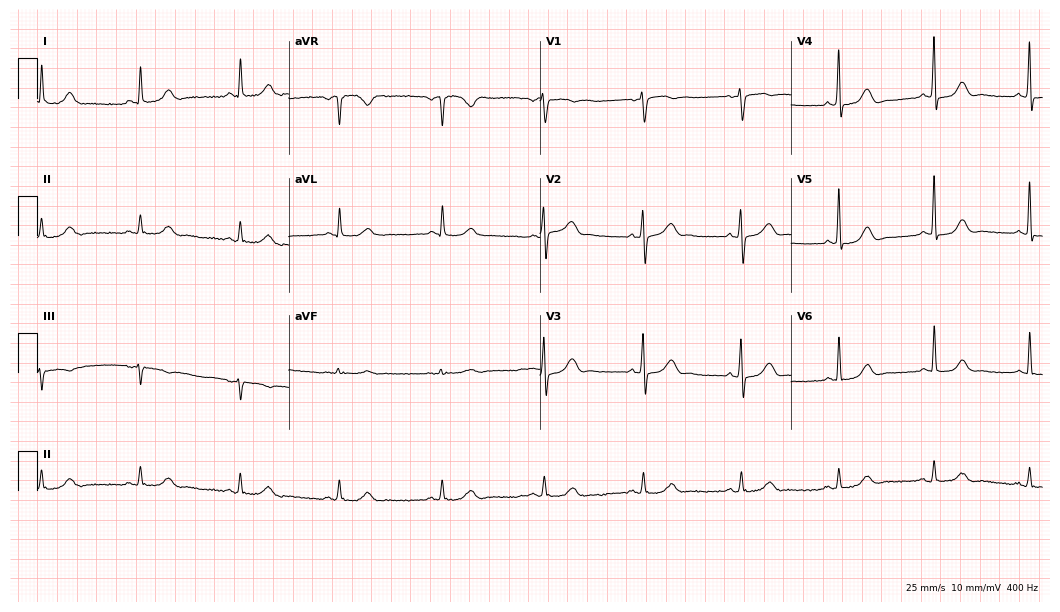
12-lead ECG from a male, 70 years old (10.2-second recording at 400 Hz). Recorded interpretation: within normal limits.